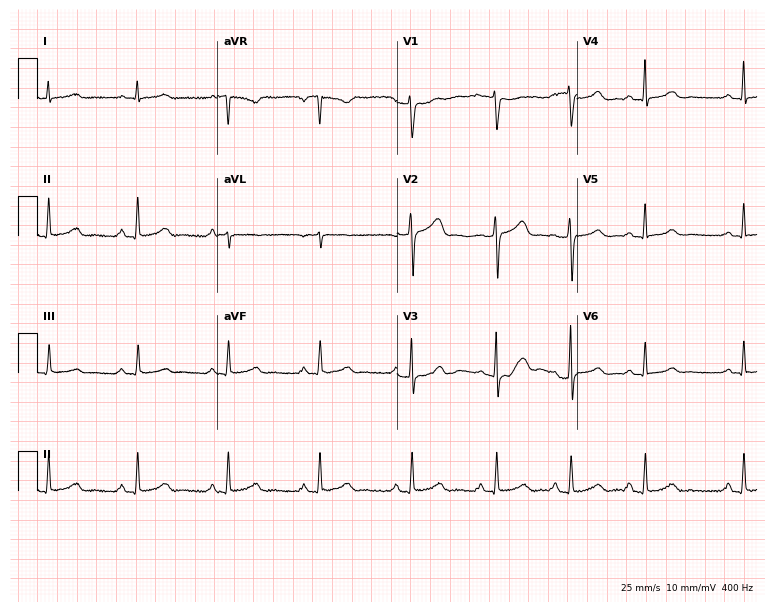
Standard 12-lead ECG recorded from a female, 36 years old (7.3-second recording at 400 Hz). Read as a normal ECG.